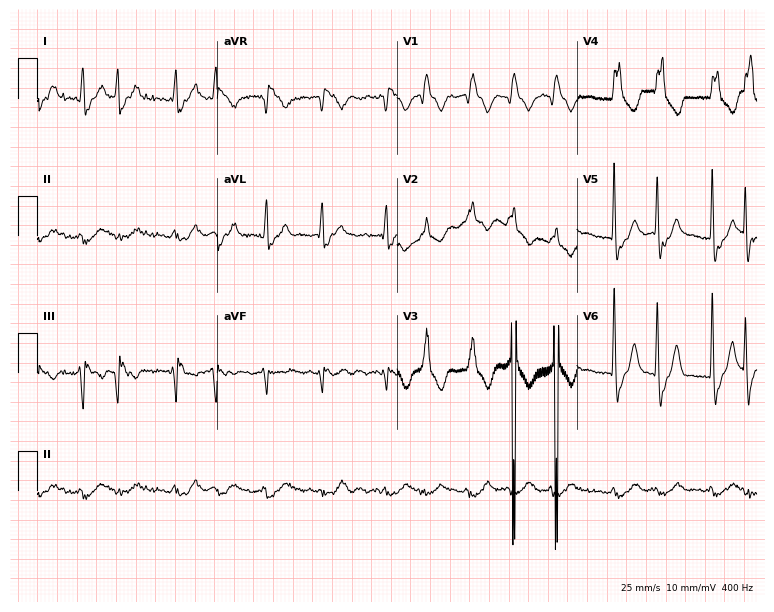
12-lead ECG (7.3-second recording at 400 Hz) from a female, 79 years old. Findings include right bundle branch block.